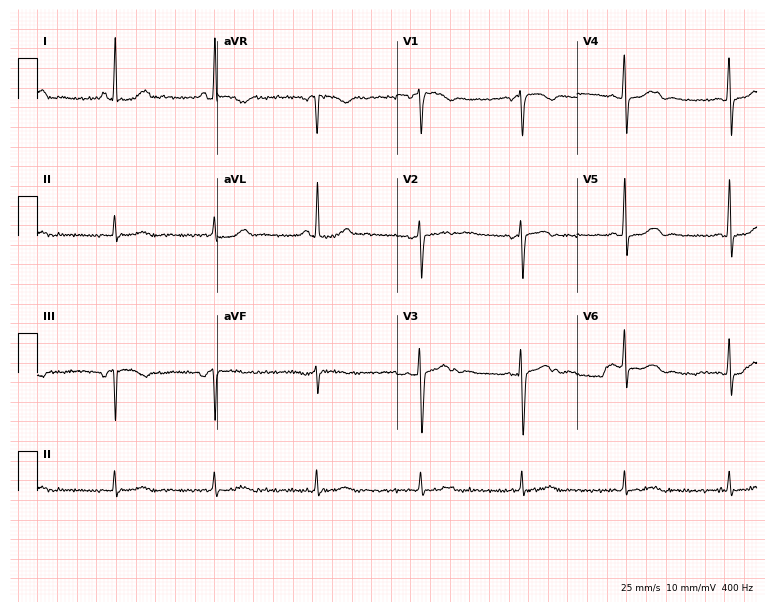
12-lead ECG from a 38-year-old woman. Screened for six findings — first-degree AV block, right bundle branch block (RBBB), left bundle branch block (LBBB), sinus bradycardia, atrial fibrillation (AF), sinus tachycardia — none is recorded. Other findings, if any, are not listed.